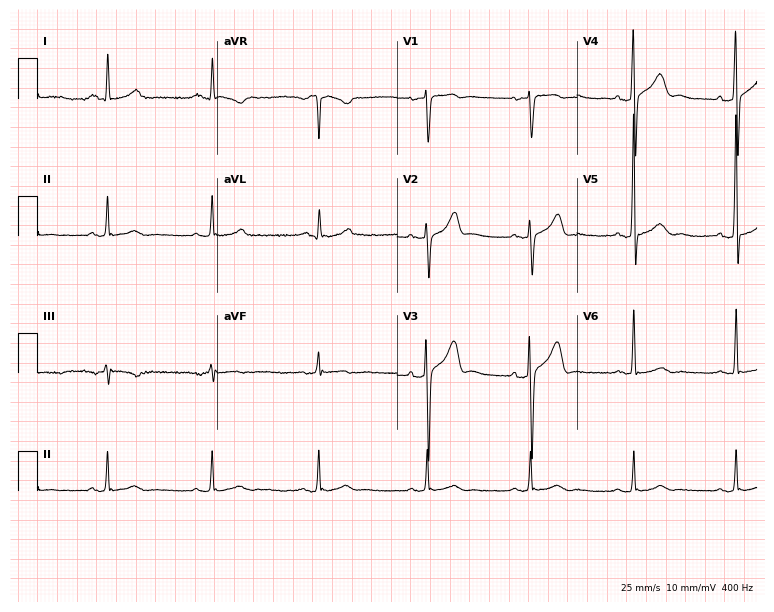
12-lead ECG from a male patient, 59 years old. Recorded interpretation: within normal limits.